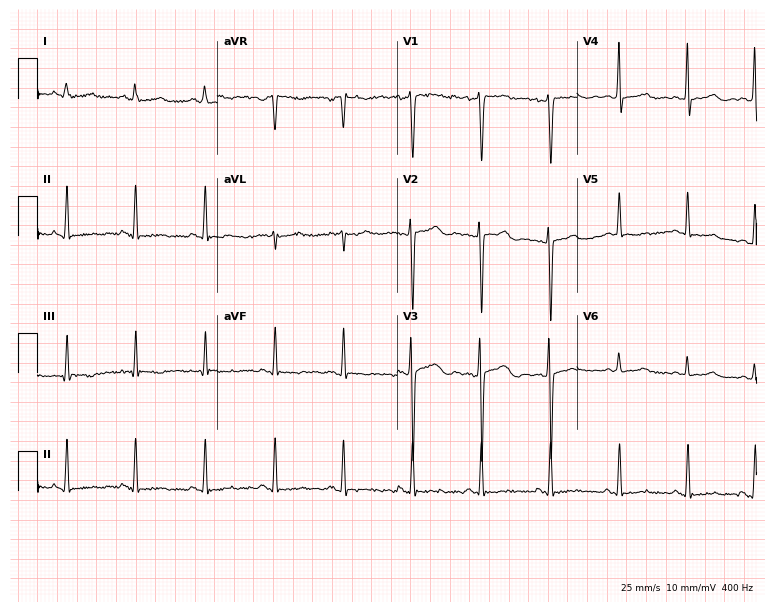
Resting 12-lead electrocardiogram (7.3-second recording at 400 Hz). Patient: a female, 24 years old. None of these six findings is recorded: first-degree AV block, right bundle branch block, left bundle branch block, sinus bradycardia, atrial fibrillation, sinus tachycardia.